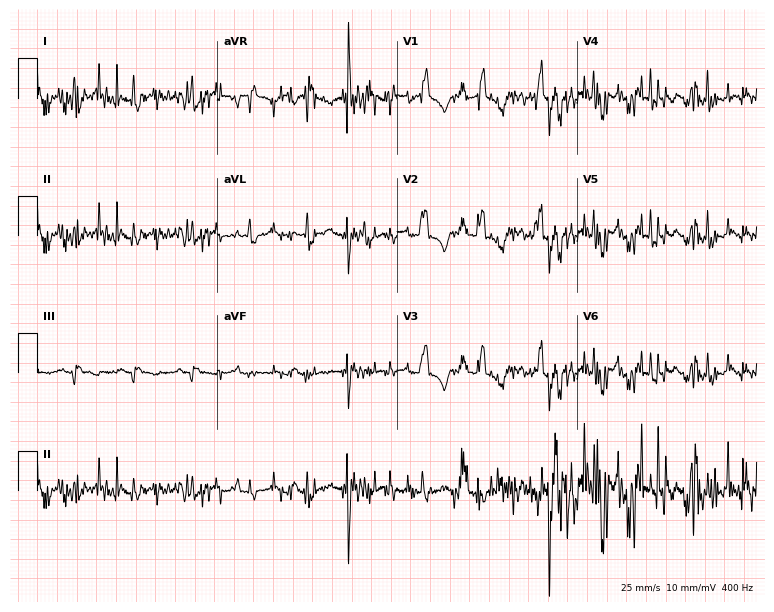
12-lead ECG from a woman, 50 years old (7.3-second recording at 400 Hz). No first-degree AV block, right bundle branch block, left bundle branch block, sinus bradycardia, atrial fibrillation or sinus tachycardia recorded for this tracing. Only these six findings were labelled.